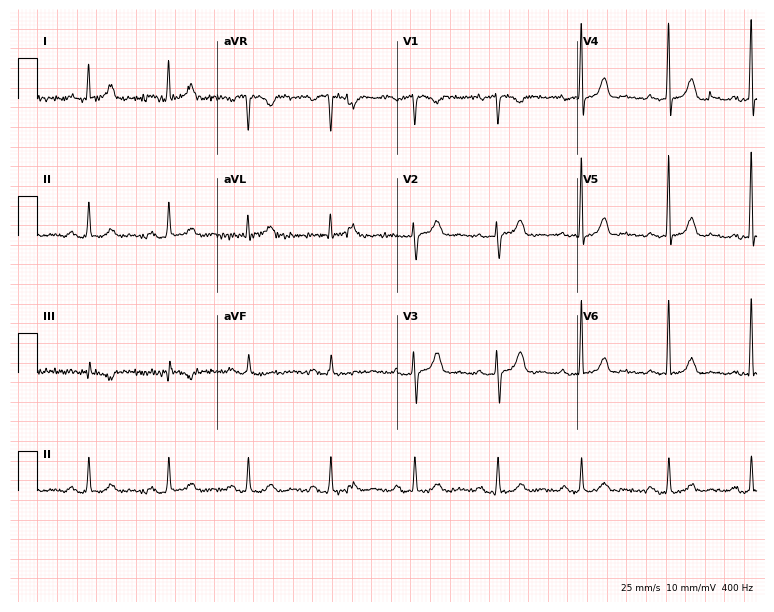
Resting 12-lead electrocardiogram. Patient: a 57-year-old woman. None of these six findings is recorded: first-degree AV block, right bundle branch block (RBBB), left bundle branch block (LBBB), sinus bradycardia, atrial fibrillation (AF), sinus tachycardia. Only these six findings were labelled.